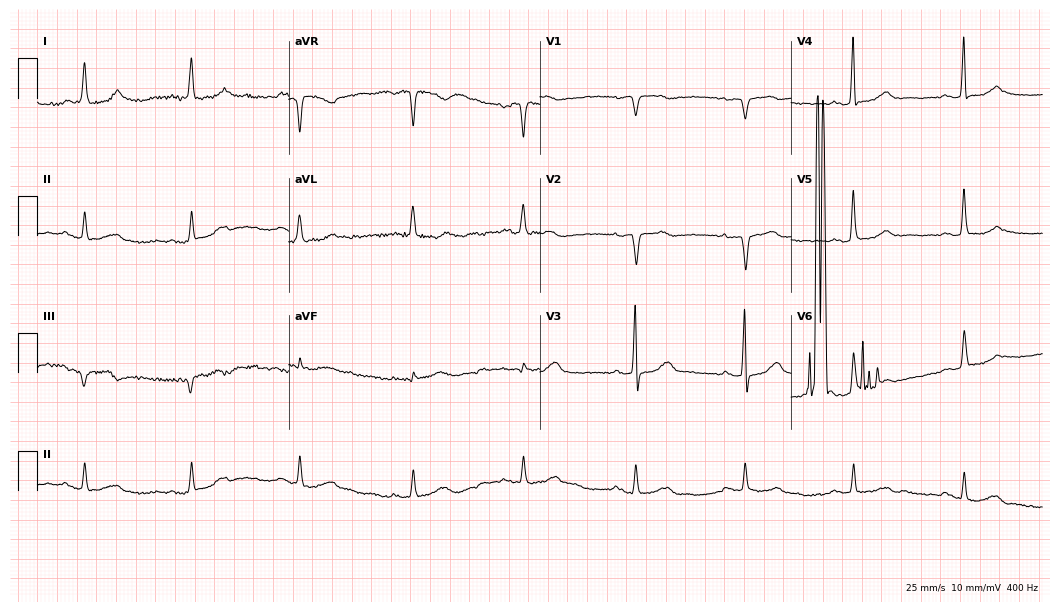
Electrocardiogram, a 60-year-old female patient. Of the six screened findings (first-degree AV block, right bundle branch block, left bundle branch block, sinus bradycardia, atrial fibrillation, sinus tachycardia), none is recorded. Findings outside these six are not listed.